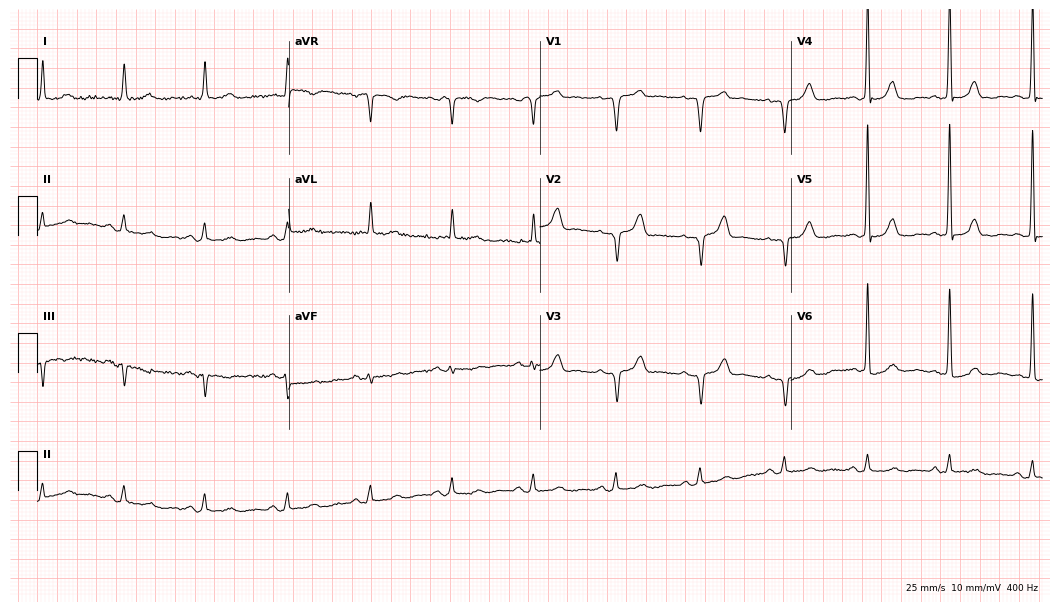
Resting 12-lead electrocardiogram. Patient: a female, 80 years old. None of these six findings is recorded: first-degree AV block, right bundle branch block, left bundle branch block, sinus bradycardia, atrial fibrillation, sinus tachycardia.